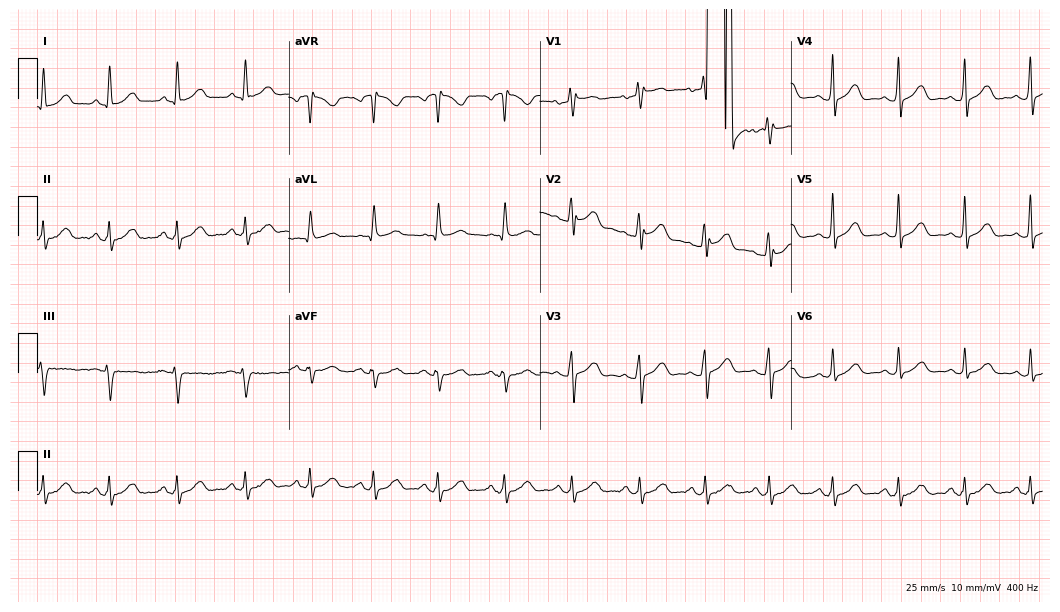
ECG — a woman, 63 years old. Screened for six findings — first-degree AV block, right bundle branch block, left bundle branch block, sinus bradycardia, atrial fibrillation, sinus tachycardia — none is recorded. Other findings, if any, are not listed.